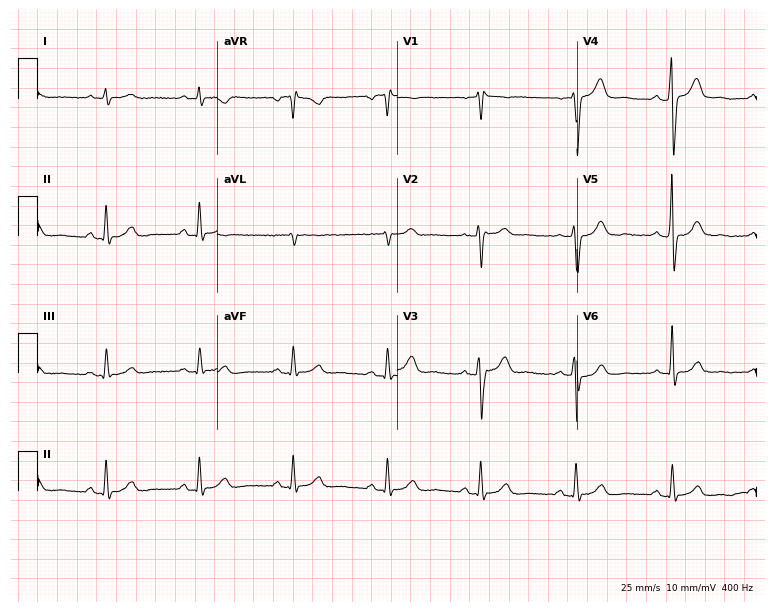
ECG — a 67-year-old male. Screened for six findings — first-degree AV block, right bundle branch block, left bundle branch block, sinus bradycardia, atrial fibrillation, sinus tachycardia — none is recorded.